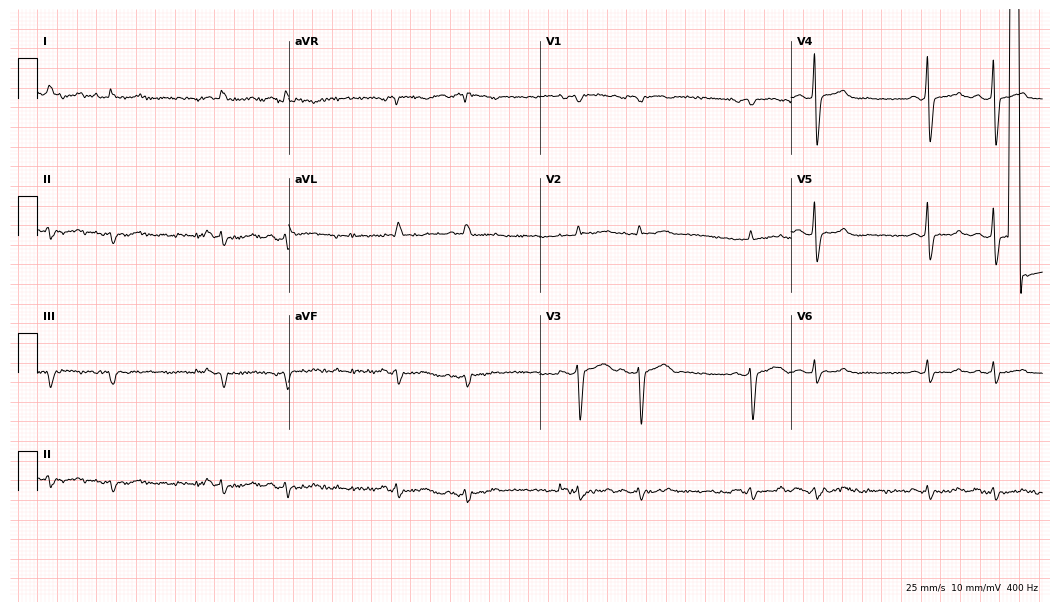
12-lead ECG (10.2-second recording at 400 Hz) from a man, 73 years old. Screened for six findings — first-degree AV block, right bundle branch block, left bundle branch block, sinus bradycardia, atrial fibrillation, sinus tachycardia — none is recorded.